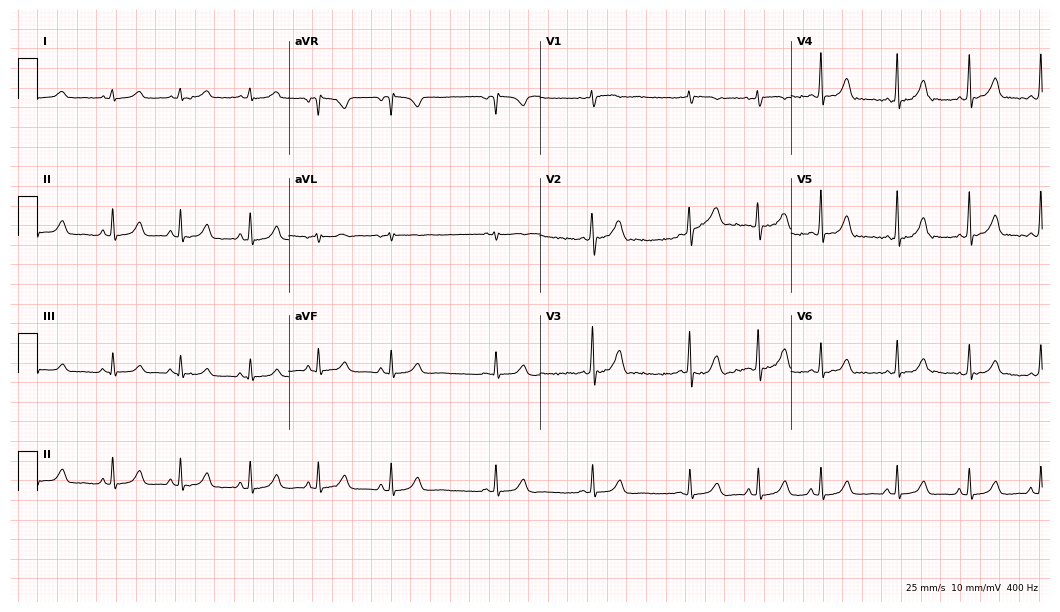
Standard 12-lead ECG recorded from an 18-year-old female. Read as a normal ECG.